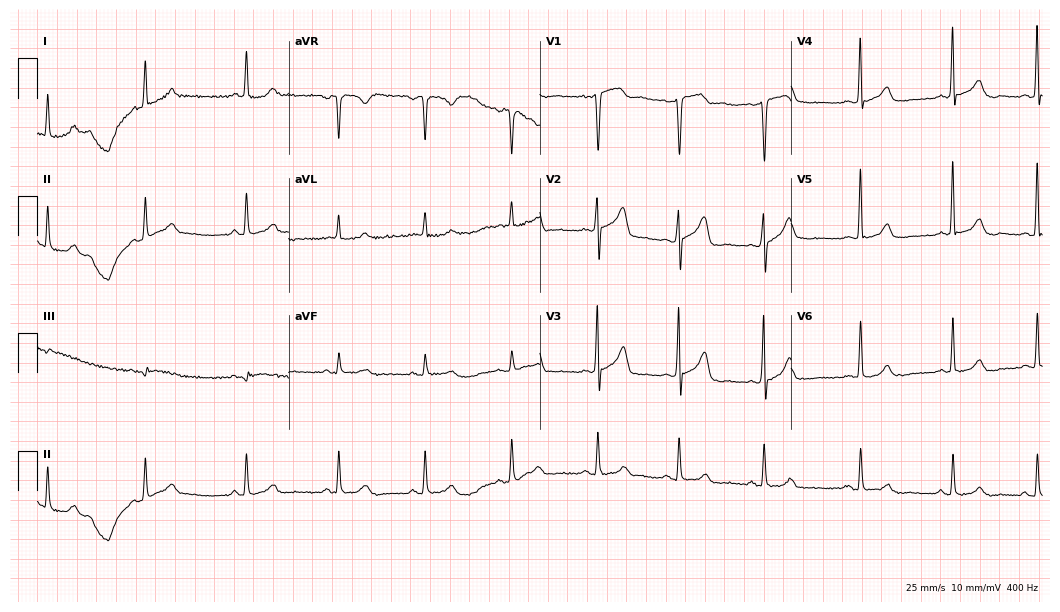
ECG (10.2-second recording at 400 Hz) — a 52-year-old woman. Labelled as a normal ECG.